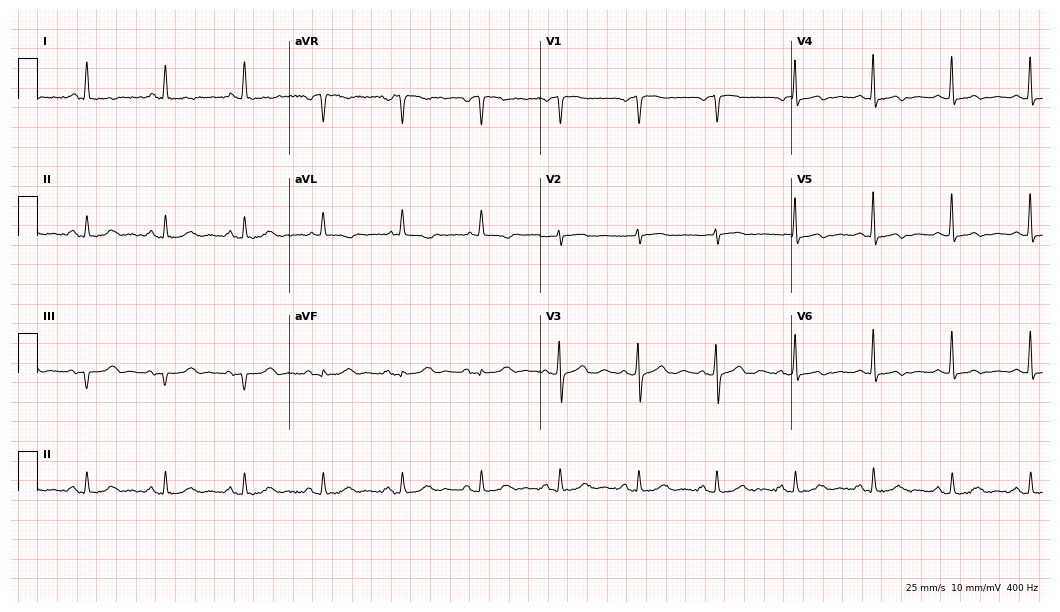
ECG — a 73-year-old woman. Labelled as a normal ECG.